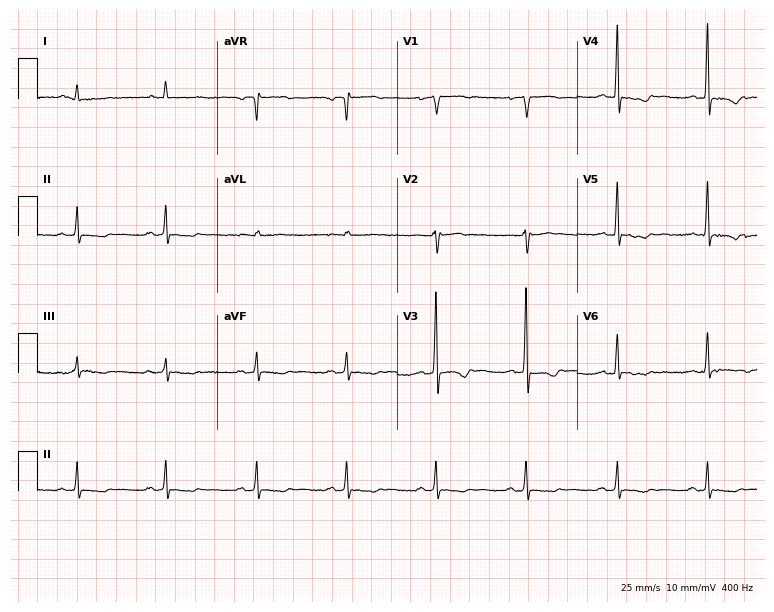
Standard 12-lead ECG recorded from a man, 77 years old (7.3-second recording at 400 Hz). None of these six findings is recorded: first-degree AV block, right bundle branch block (RBBB), left bundle branch block (LBBB), sinus bradycardia, atrial fibrillation (AF), sinus tachycardia. Findings outside these six are not listed.